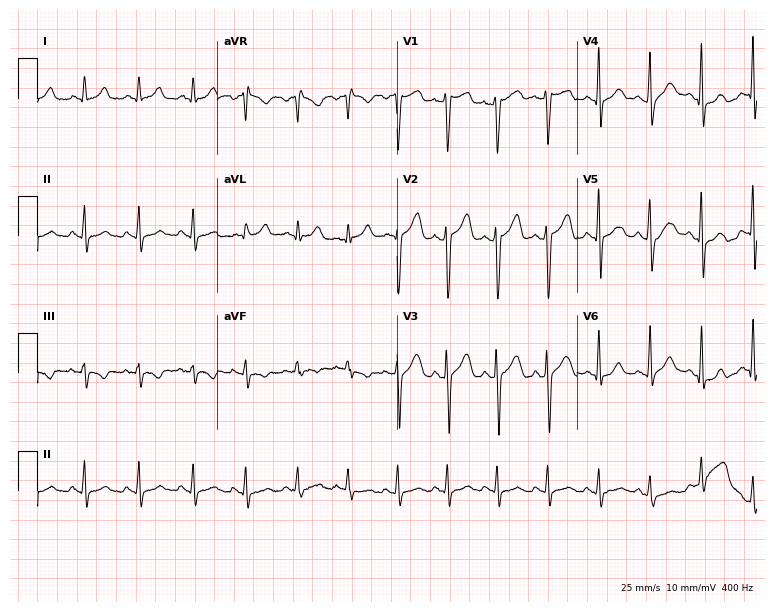
ECG — a male, 31 years old. Findings include sinus tachycardia (a sinus rate of 100 beats per minute or more).